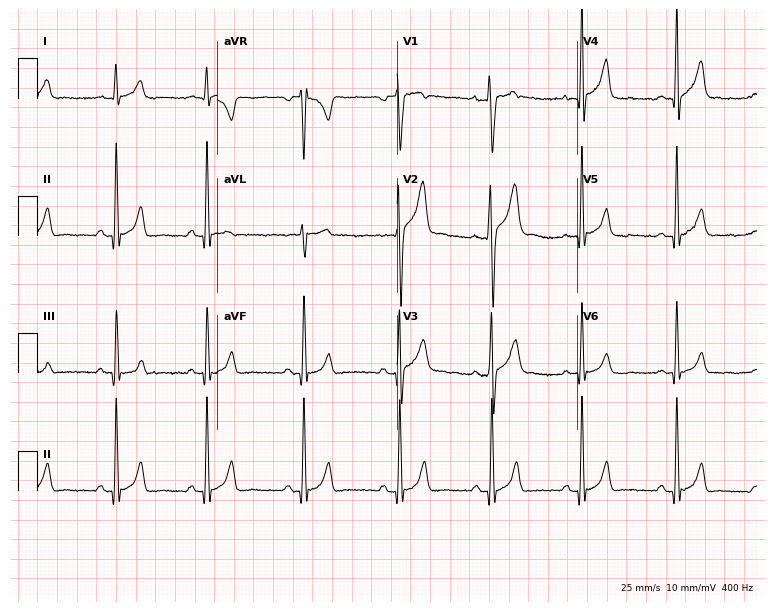
Resting 12-lead electrocardiogram (7.3-second recording at 400 Hz). Patient: a 22-year-old male. Read as a normal ECG.